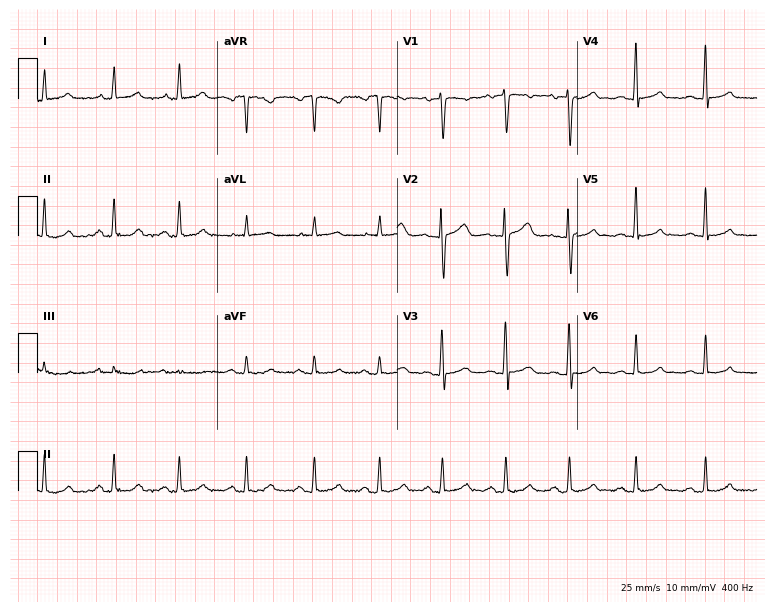
Standard 12-lead ECG recorded from a female, 41 years old. Read as a normal ECG.